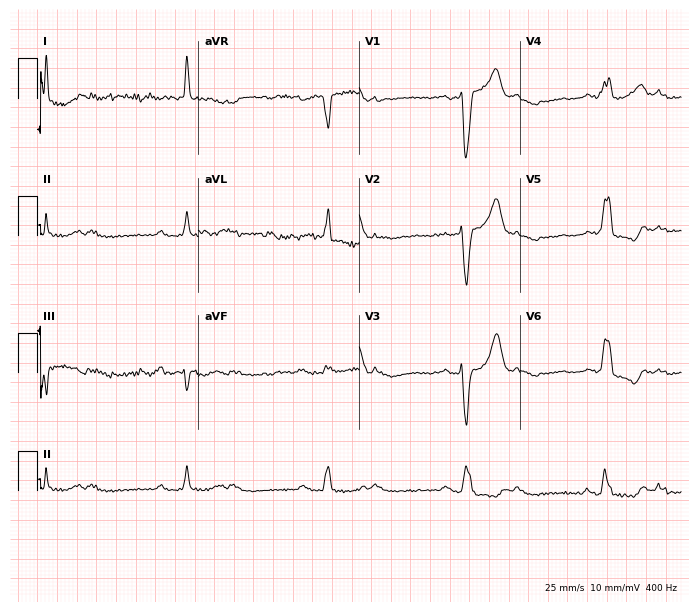
ECG — a 79-year-old male patient. Screened for six findings — first-degree AV block, right bundle branch block, left bundle branch block, sinus bradycardia, atrial fibrillation, sinus tachycardia — none is recorded.